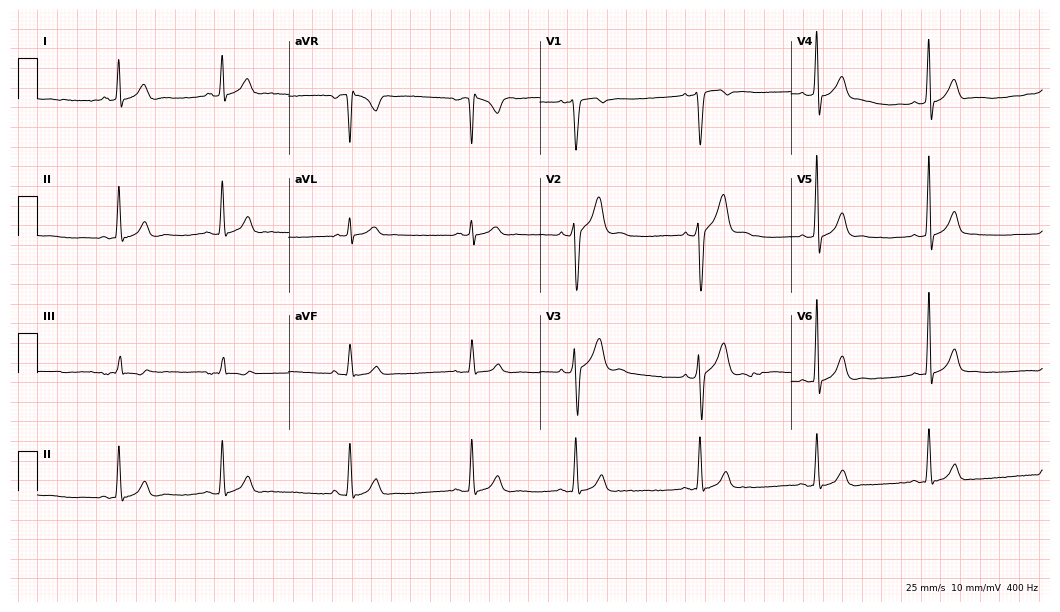
Resting 12-lead electrocardiogram. Patient: a 20-year-old man. Read as a normal ECG.